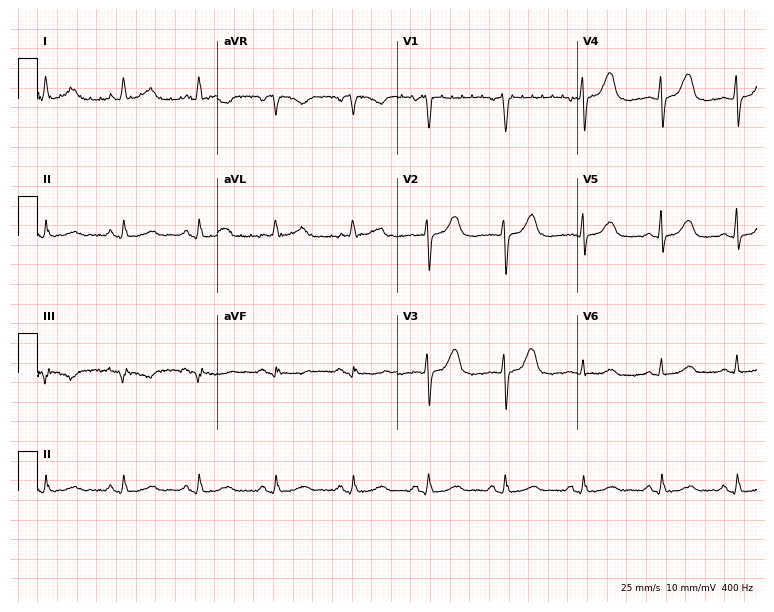
12-lead ECG from a 77-year-old female patient. Recorded interpretation: within normal limits.